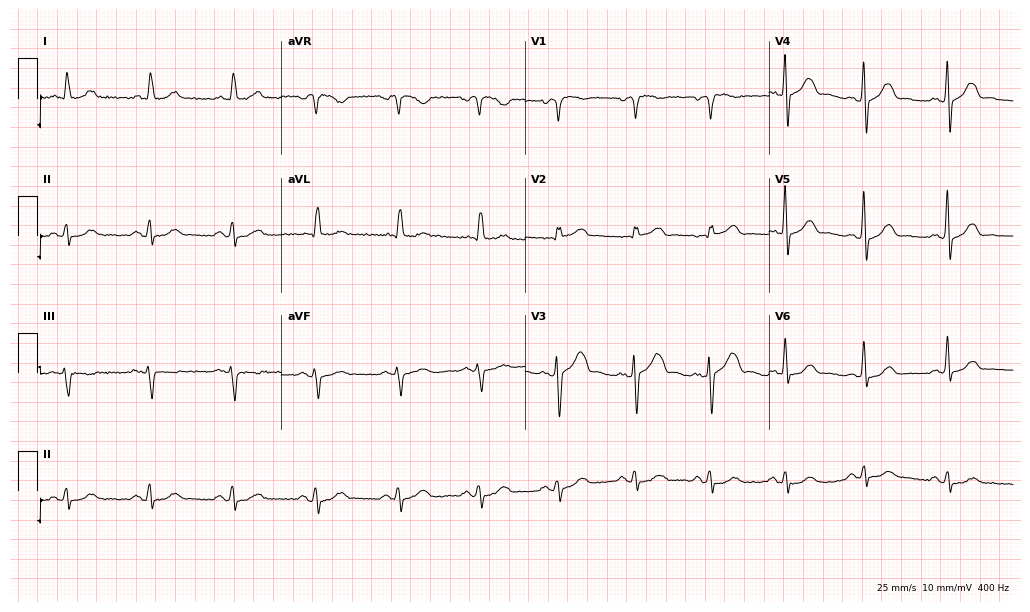
Electrocardiogram (9.9-second recording at 400 Hz), a male patient, 50 years old. Of the six screened findings (first-degree AV block, right bundle branch block, left bundle branch block, sinus bradycardia, atrial fibrillation, sinus tachycardia), none is recorded. Only these six findings were labelled.